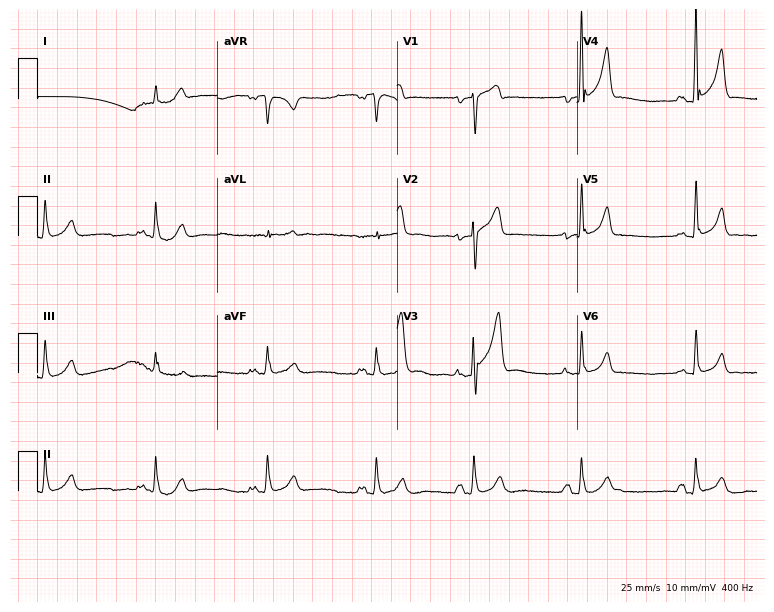
Standard 12-lead ECG recorded from a 57-year-old man (7.3-second recording at 400 Hz). None of these six findings is recorded: first-degree AV block, right bundle branch block, left bundle branch block, sinus bradycardia, atrial fibrillation, sinus tachycardia.